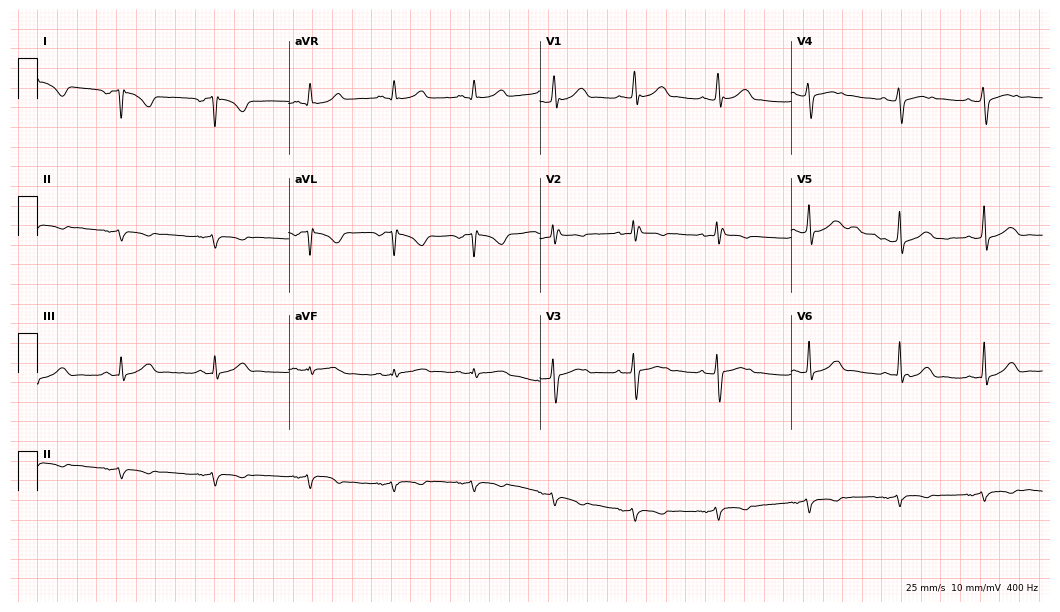
12-lead ECG from a 24-year-old woman. Screened for six findings — first-degree AV block, right bundle branch block, left bundle branch block, sinus bradycardia, atrial fibrillation, sinus tachycardia — none is recorded. Findings outside these six are not listed.